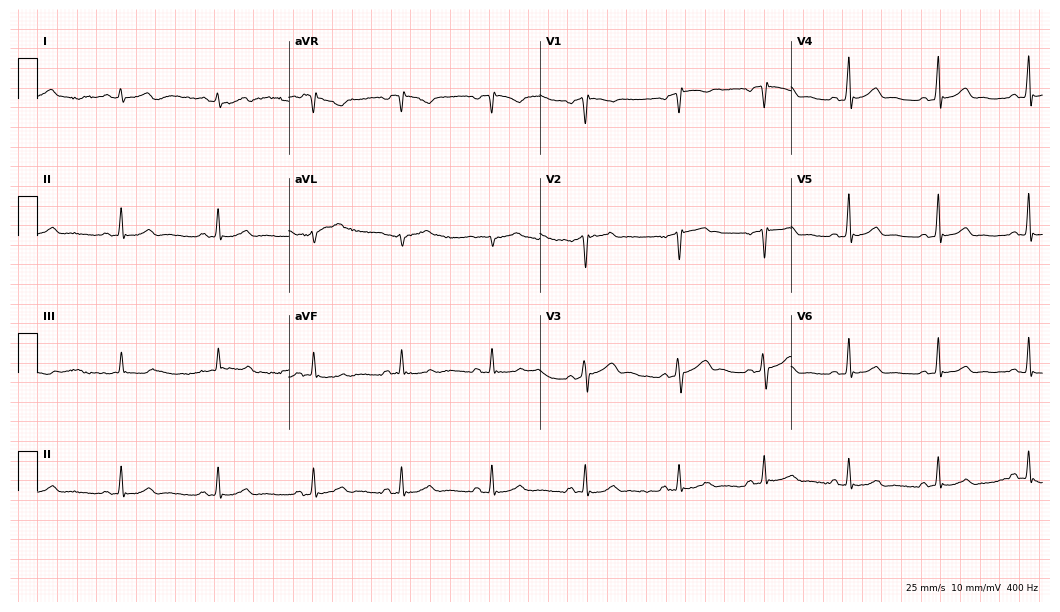
Electrocardiogram, a male, 31 years old. Overall reading on record: normal ECG.